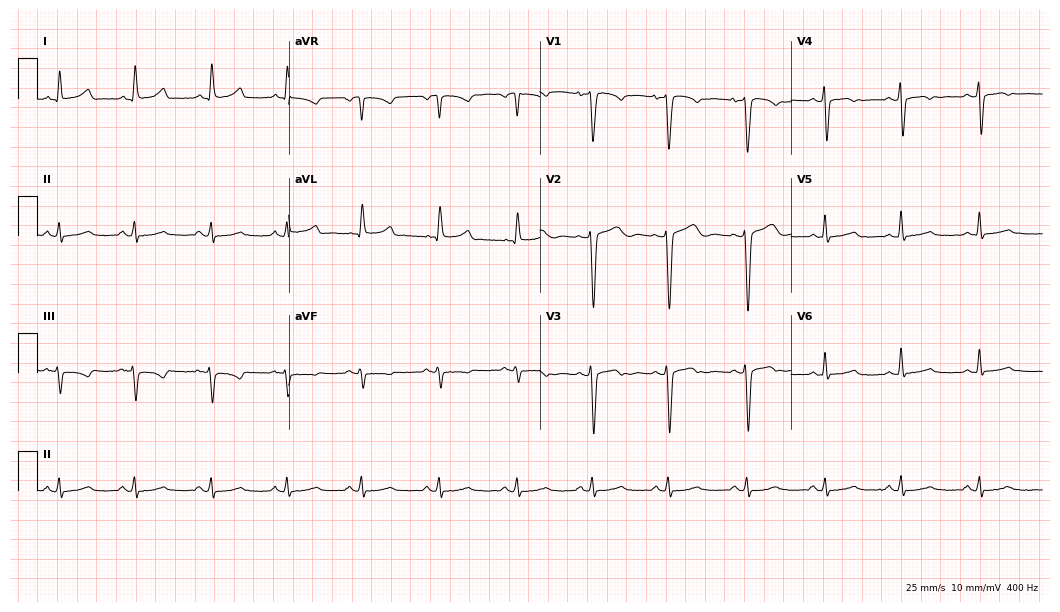
Standard 12-lead ECG recorded from a female patient, 46 years old. None of these six findings is recorded: first-degree AV block, right bundle branch block (RBBB), left bundle branch block (LBBB), sinus bradycardia, atrial fibrillation (AF), sinus tachycardia. Findings outside these six are not listed.